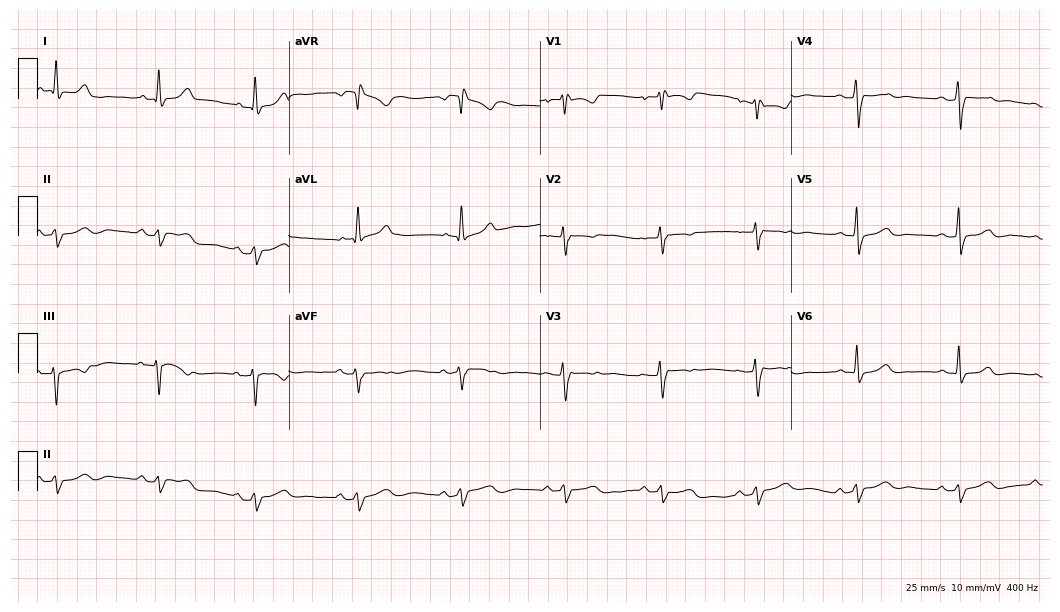
ECG (10.2-second recording at 400 Hz) — a 36-year-old female patient. Screened for six findings — first-degree AV block, right bundle branch block (RBBB), left bundle branch block (LBBB), sinus bradycardia, atrial fibrillation (AF), sinus tachycardia — none is recorded.